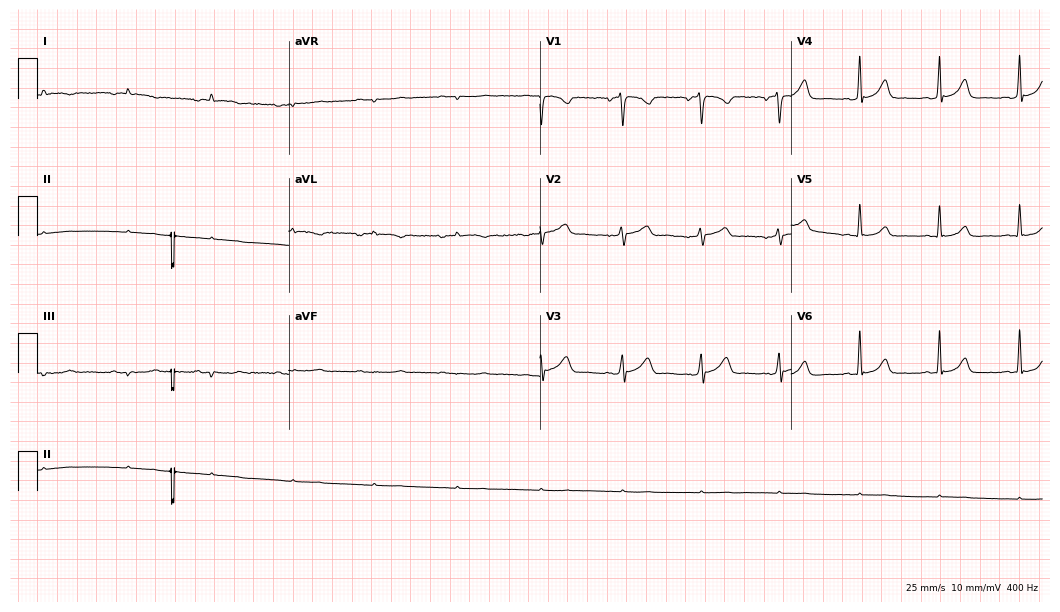
12-lead ECG from a female, 54 years old. No first-degree AV block, right bundle branch block, left bundle branch block, sinus bradycardia, atrial fibrillation or sinus tachycardia recorded for this tracing.